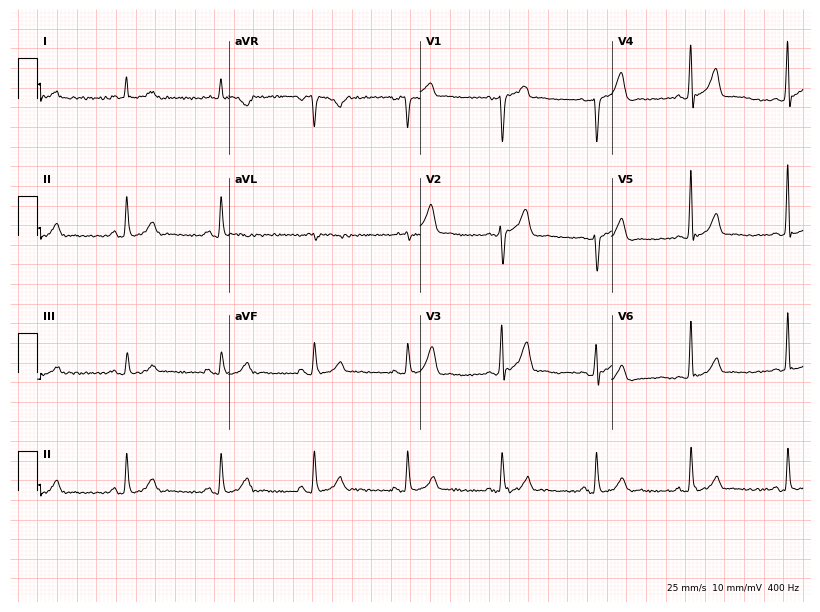
12-lead ECG (7.8-second recording at 400 Hz) from a male, 47 years old. Screened for six findings — first-degree AV block, right bundle branch block, left bundle branch block, sinus bradycardia, atrial fibrillation, sinus tachycardia — none is recorded.